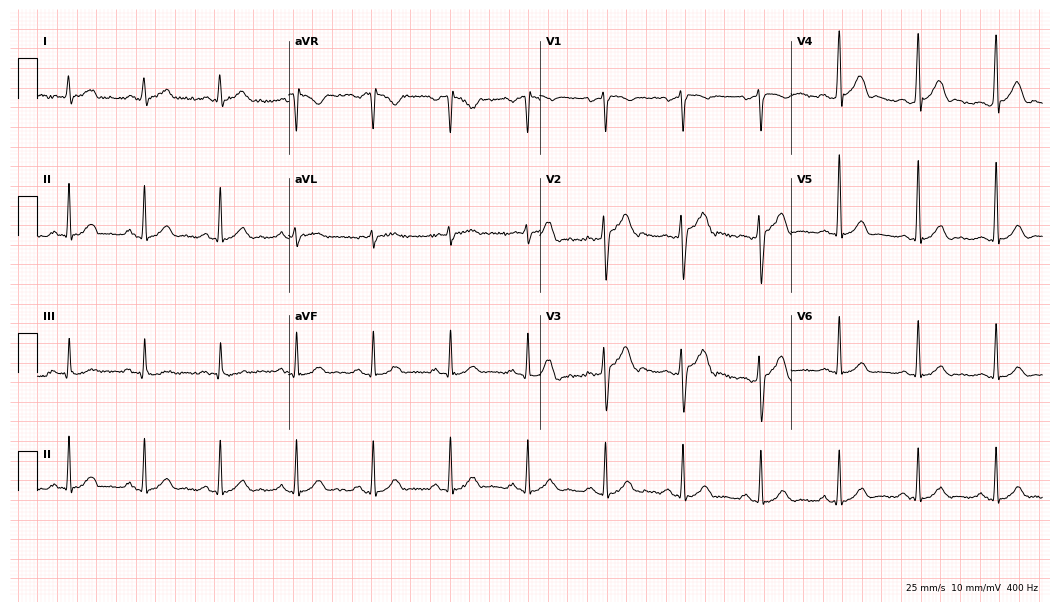
12-lead ECG from a male, 48 years old (10.2-second recording at 400 Hz). Recorded interpretation: within normal limits.